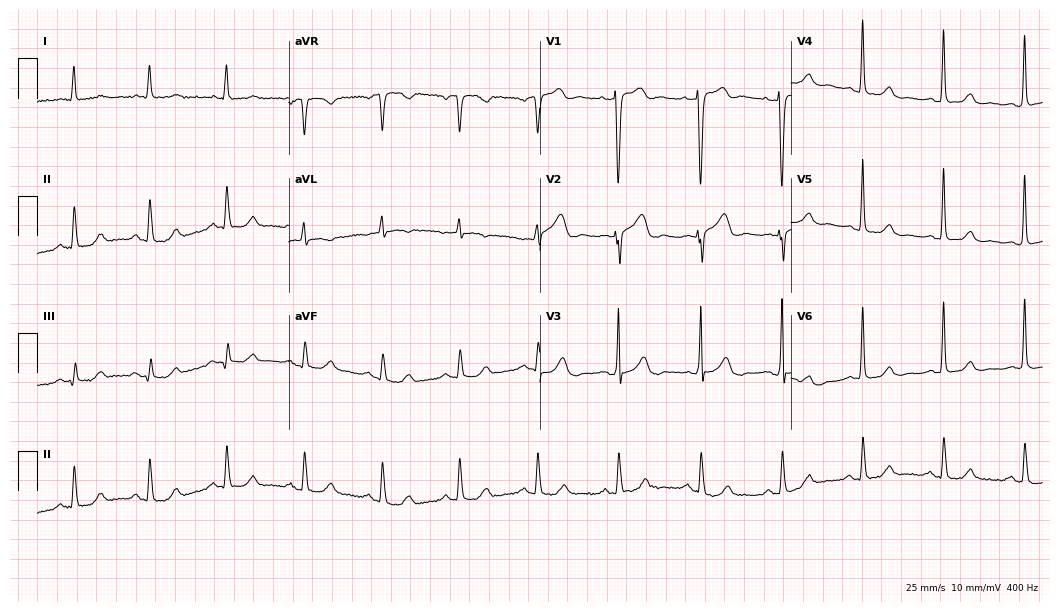
12-lead ECG from a female, 84 years old. Screened for six findings — first-degree AV block, right bundle branch block (RBBB), left bundle branch block (LBBB), sinus bradycardia, atrial fibrillation (AF), sinus tachycardia — none is recorded.